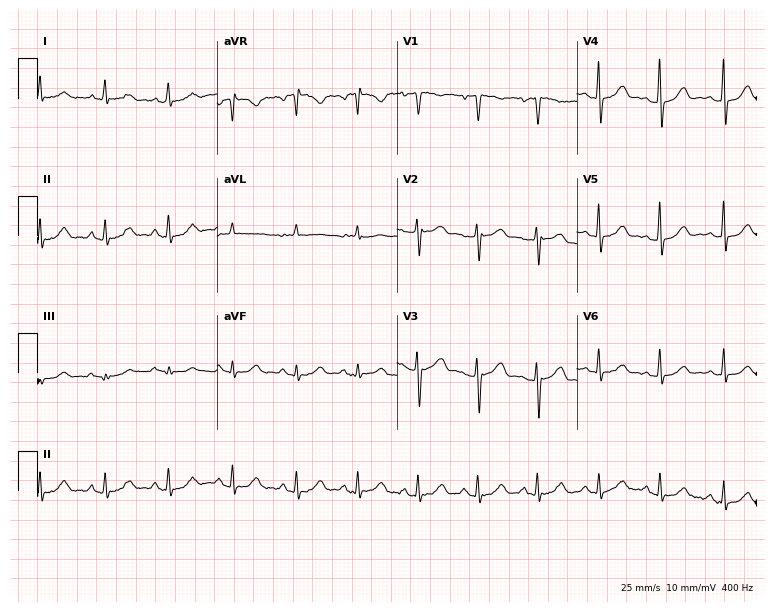
Resting 12-lead electrocardiogram. Patient: a 73-year-old female. None of these six findings is recorded: first-degree AV block, right bundle branch block, left bundle branch block, sinus bradycardia, atrial fibrillation, sinus tachycardia. Findings outside these six are not listed.